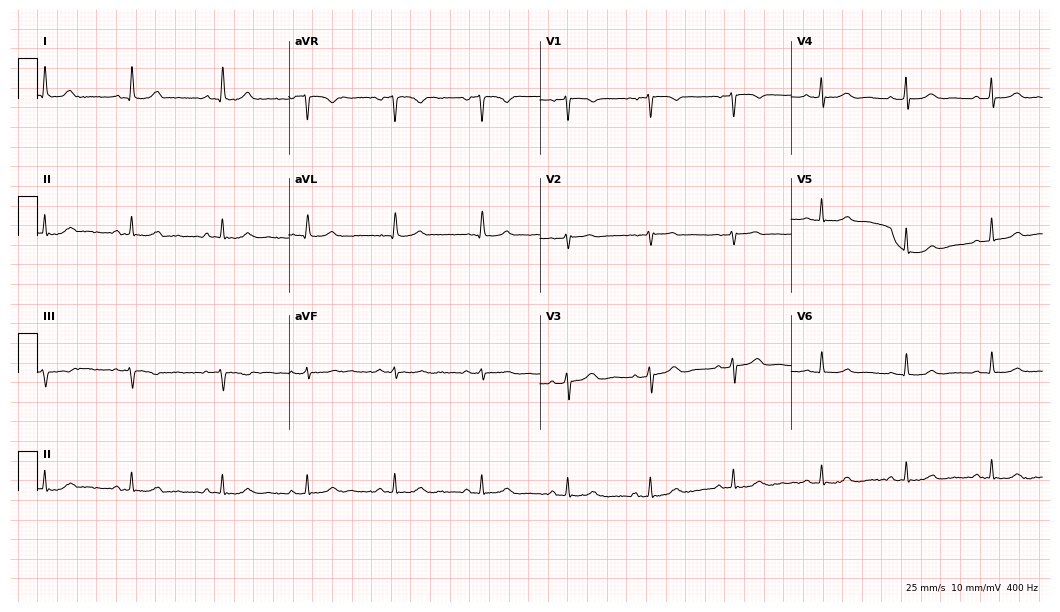
Electrocardiogram, a female patient, 60 years old. Overall reading on record: normal ECG.